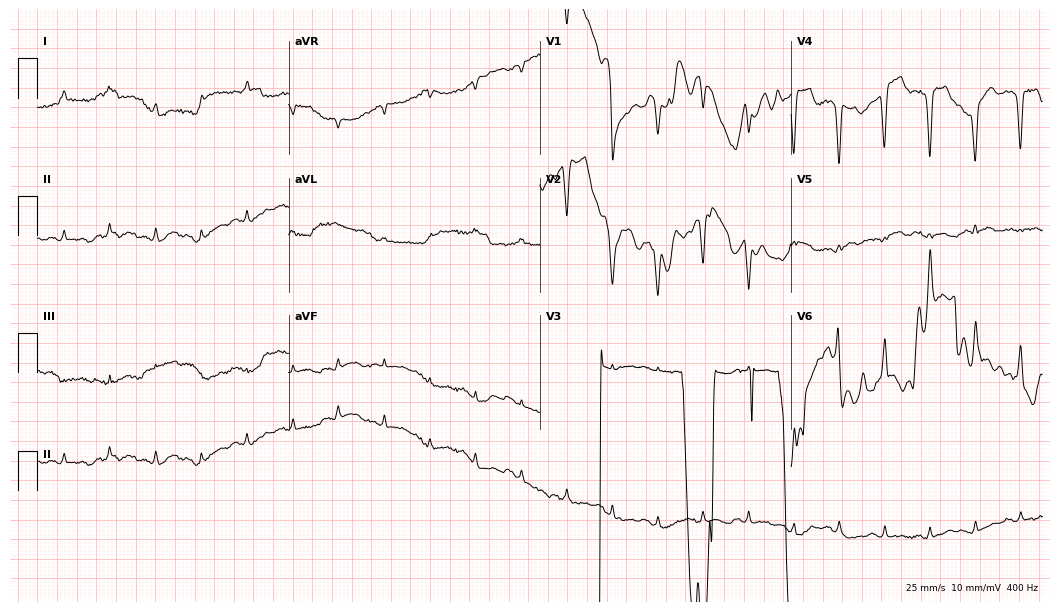
ECG (10.2-second recording at 400 Hz) — a female patient, 77 years old. Screened for six findings — first-degree AV block, right bundle branch block (RBBB), left bundle branch block (LBBB), sinus bradycardia, atrial fibrillation (AF), sinus tachycardia — none is recorded.